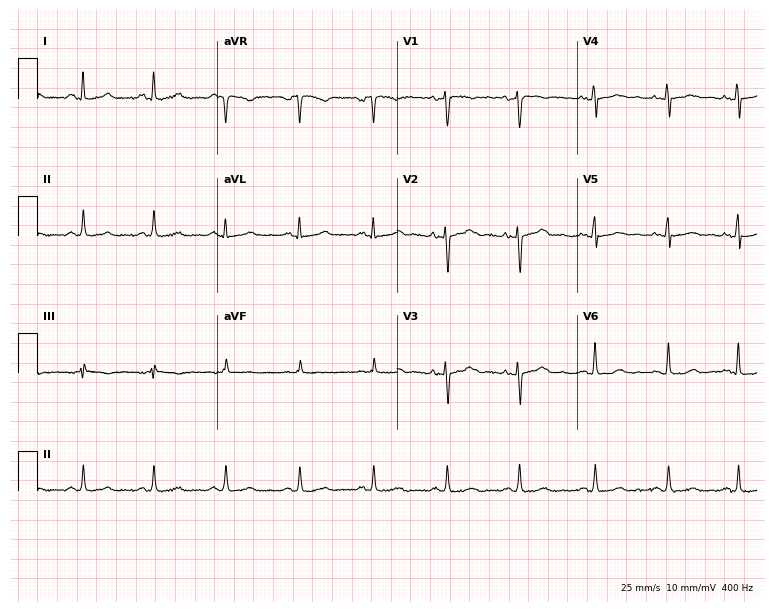
12-lead ECG from a 23-year-old female. No first-degree AV block, right bundle branch block, left bundle branch block, sinus bradycardia, atrial fibrillation or sinus tachycardia recorded for this tracing.